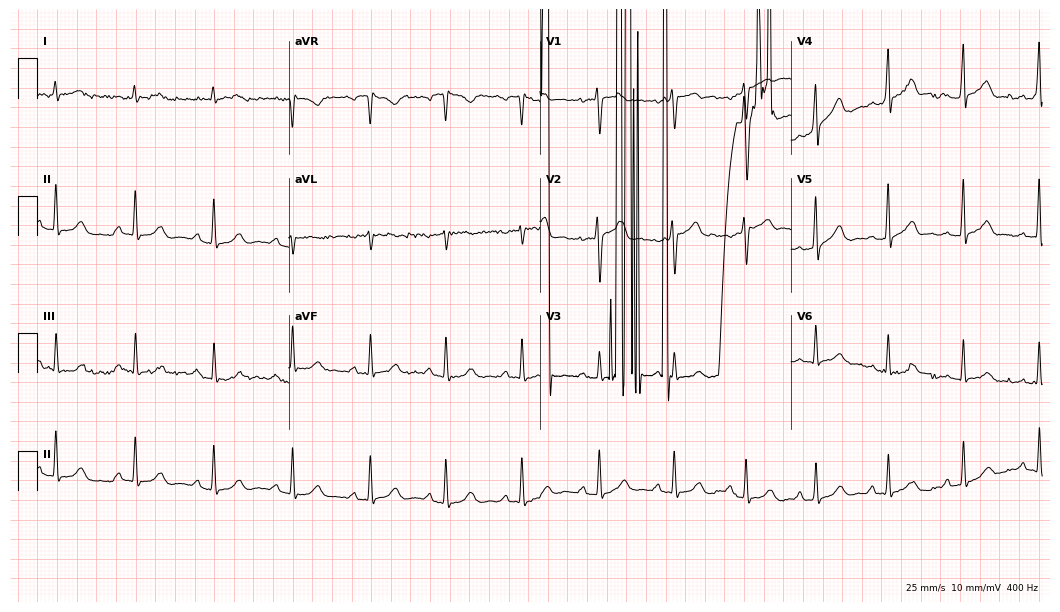
ECG — a male patient, 36 years old. Screened for six findings — first-degree AV block, right bundle branch block (RBBB), left bundle branch block (LBBB), sinus bradycardia, atrial fibrillation (AF), sinus tachycardia — none is recorded. Only these six findings were labelled.